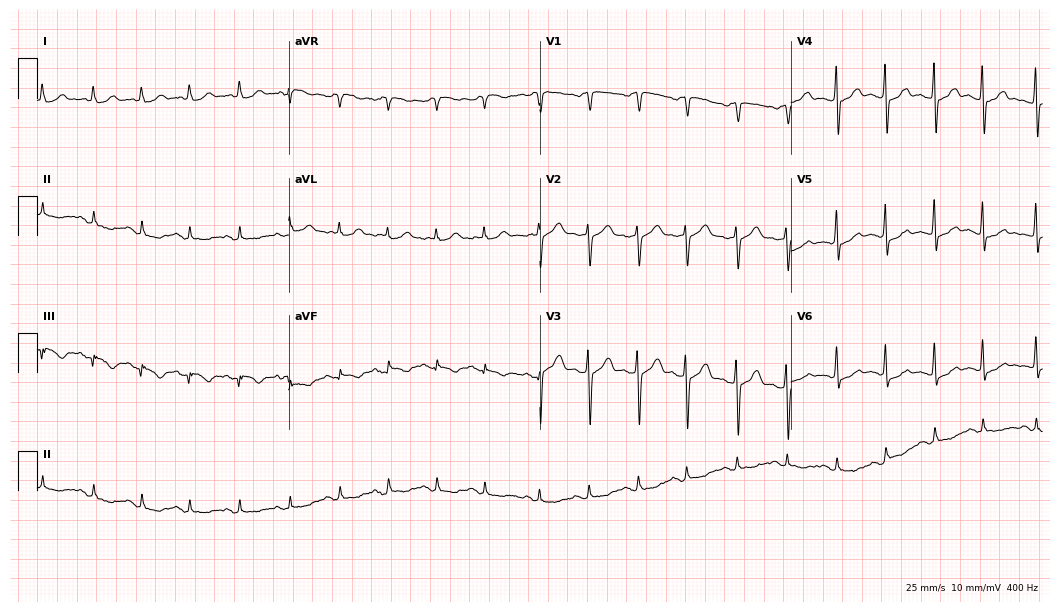
12-lead ECG (10.2-second recording at 400 Hz) from a female, 69 years old. Findings include sinus tachycardia (a sinus rate of 100 beats per minute or more).